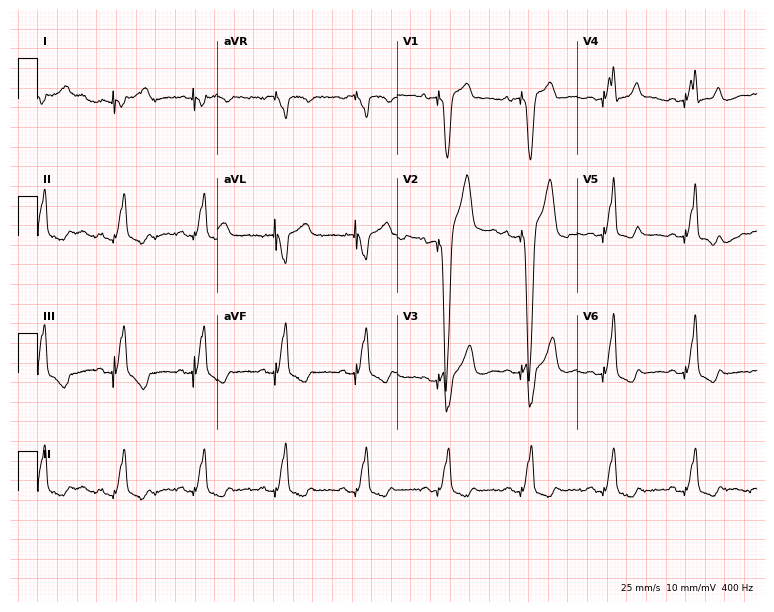
Electrocardiogram (7.3-second recording at 400 Hz), an 82-year-old male patient. Of the six screened findings (first-degree AV block, right bundle branch block (RBBB), left bundle branch block (LBBB), sinus bradycardia, atrial fibrillation (AF), sinus tachycardia), none is recorded.